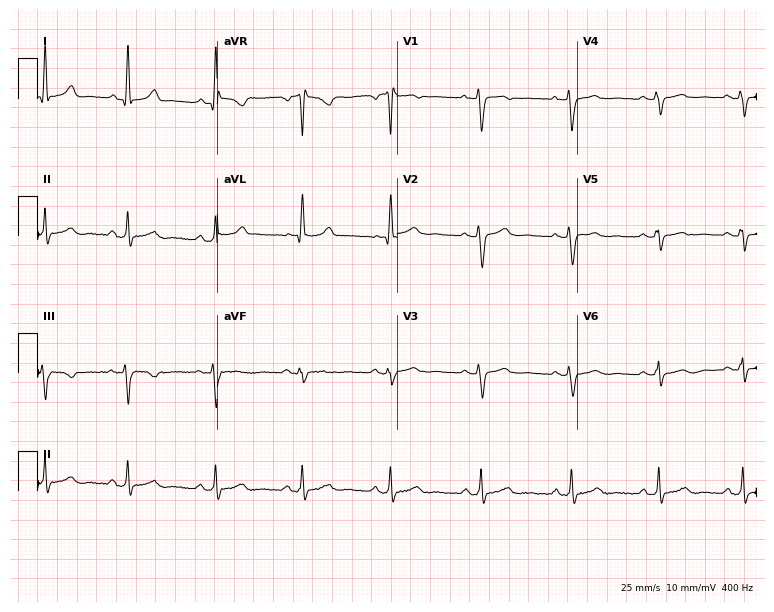
ECG — a female, 34 years old. Screened for six findings — first-degree AV block, right bundle branch block (RBBB), left bundle branch block (LBBB), sinus bradycardia, atrial fibrillation (AF), sinus tachycardia — none is recorded.